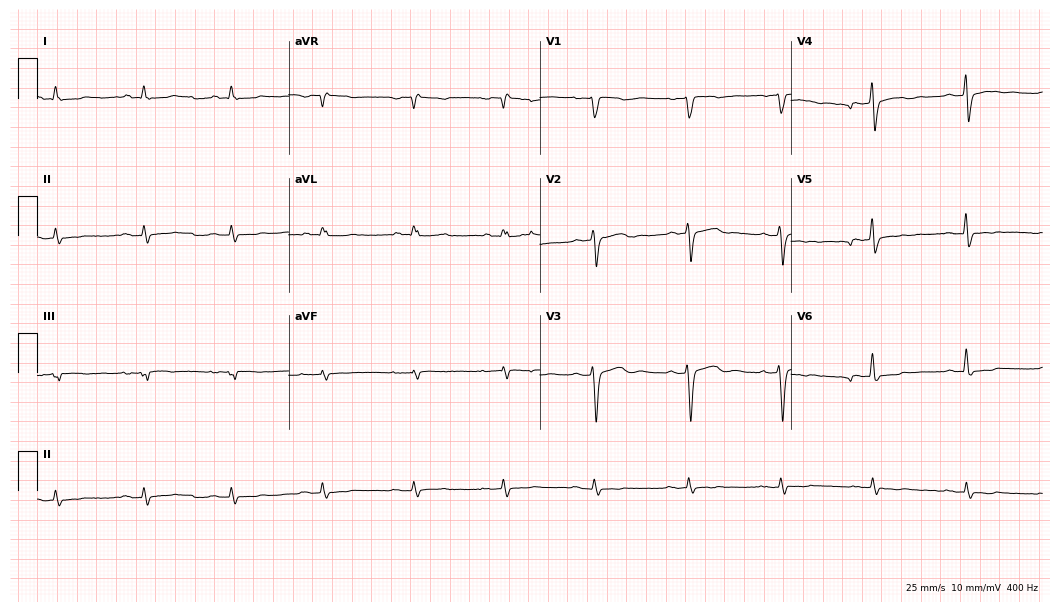
ECG (10.2-second recording at 400 Hz) — a man, 65 years old. Screened for six findings — first-degree AV block, right bundle branch block, left bundle branch block, sinus bradycardia, atrial fibrillation, sinus tachycardia — none is recorded. Findings outside these six are not listed.